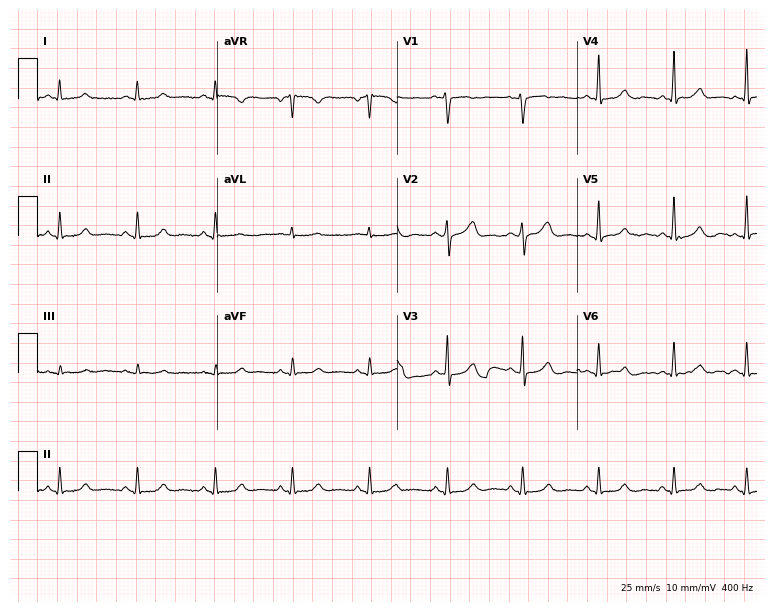
ECG — a woman, 42 years old. Labelled as a normal ECG.